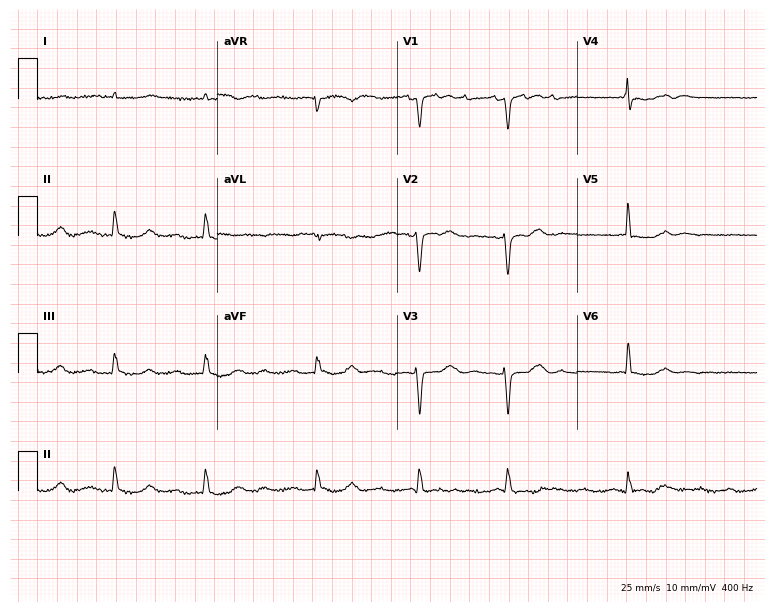
Standard 12-lead ECG recorded from a male, 81 years old. None of these six findings is recorded: first-degree AV block, right bundle branch block, left bundle branch block, sinus bradycardia, atrial fibrillation, sinus tachycardia. Other findings, if any, are not listed.